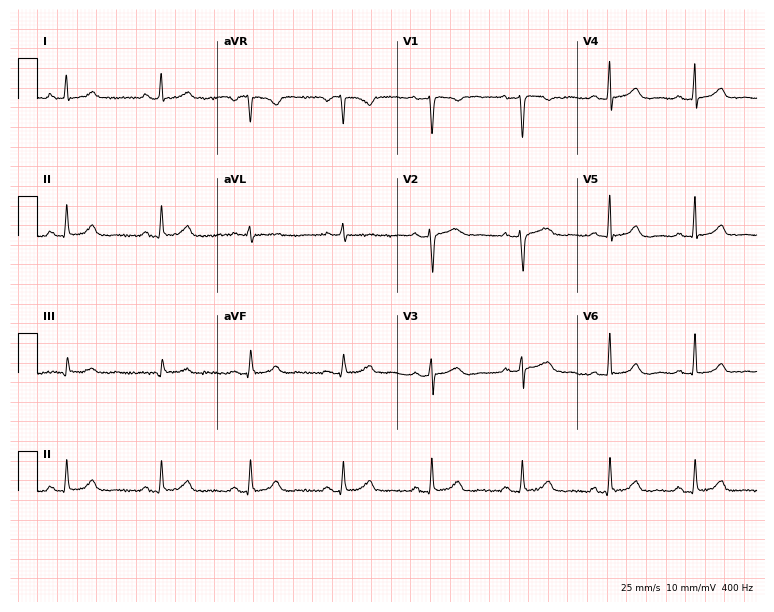
ECG (7.3-second recording at 400 Hz) — a 45-year-old woman. Labelled as a normal ECG.